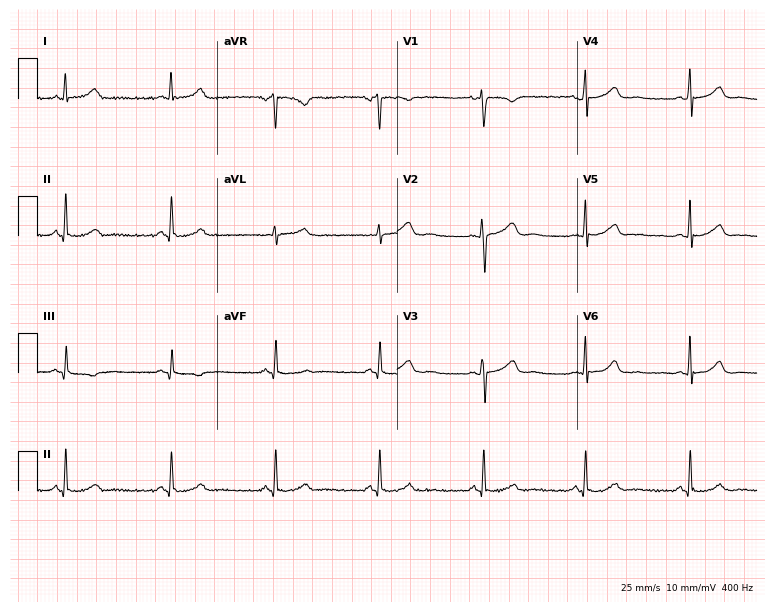
ECG (7.3-second recording at 400 Hz) — a female, 45 years old. Screened for six findings — first-degree AV block, right bundle branch block (RBBB), left bundle branch block (LBBB), sinus bradycardia, atrial fibrillation (AF), sinus tachycardia — none is recorded. Only these six findings were labelled.